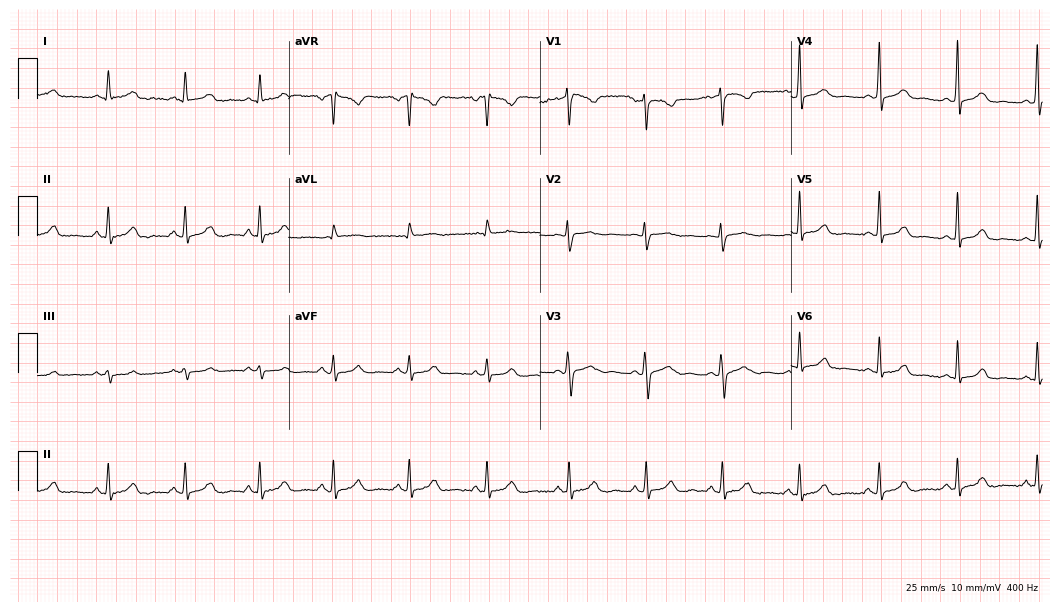
Resting 12-lead electrocardiogram (10.2-second recording at 400 Hz). Patient: a female, 30 years old. Read as a normal ECG.